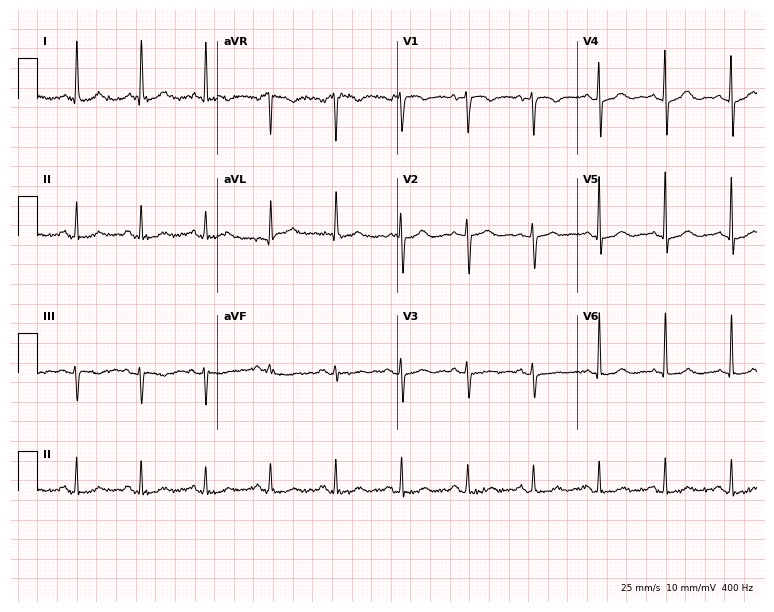
ECG — a female, 85 years old. Screened for six findings — first-degree AV block, right bundle branch block (RBBB), left bundle branch block (LBBB), sinus bradycardia, atrial fibrillation (AF), sinus tachycardia — none is recorded. Other findings, if any, are not listed.